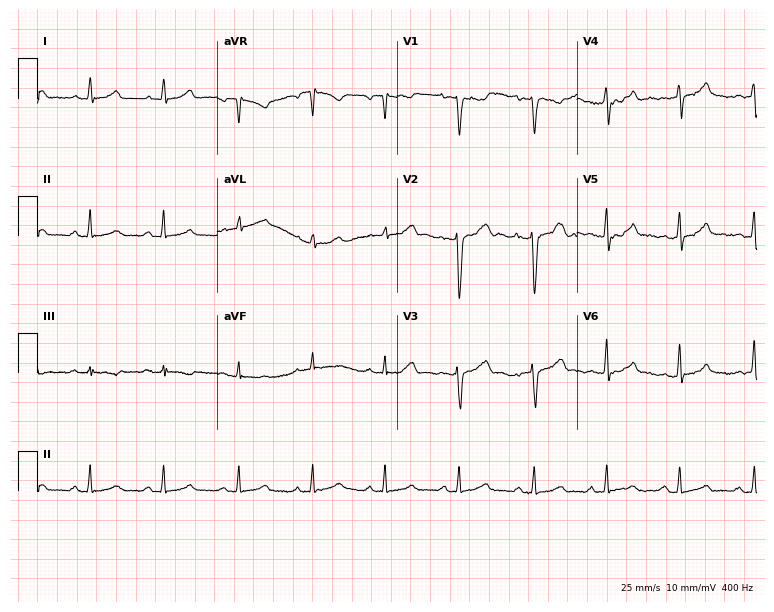
Electrocardiogram, a woman, 31 years old. Overall reading on record: normal ECG.